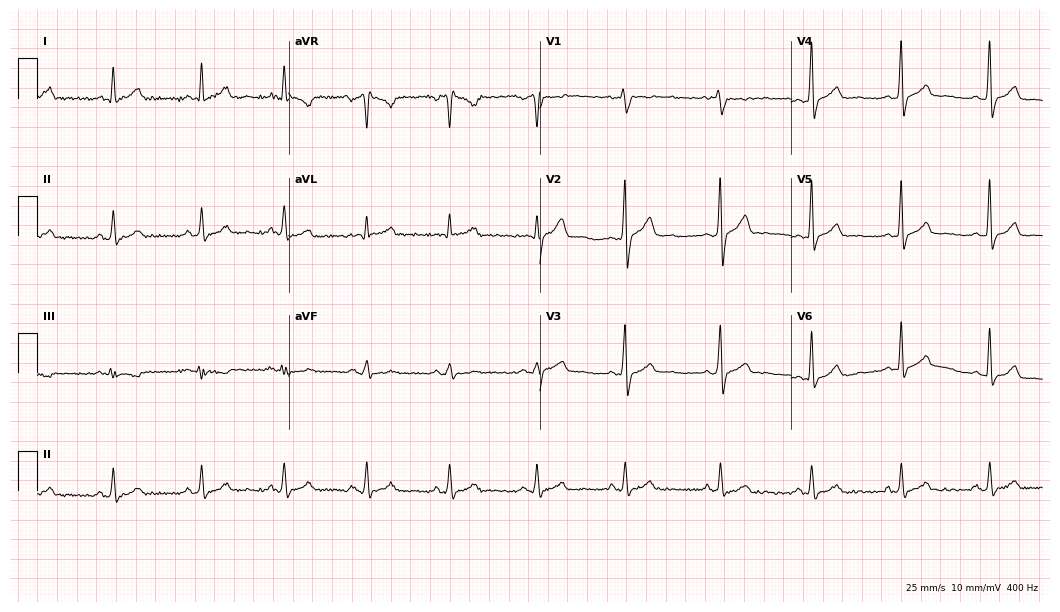
12-lead ECG from a man, 35 years old (10.2-second recording at 400 Hz). No first-degree AV block, right bundle branch block, left bundle branch block, sinus bradycardia, atrial fibrillation or sinus tachycardia recorded for this tracing. Findings outside these six are not listed.